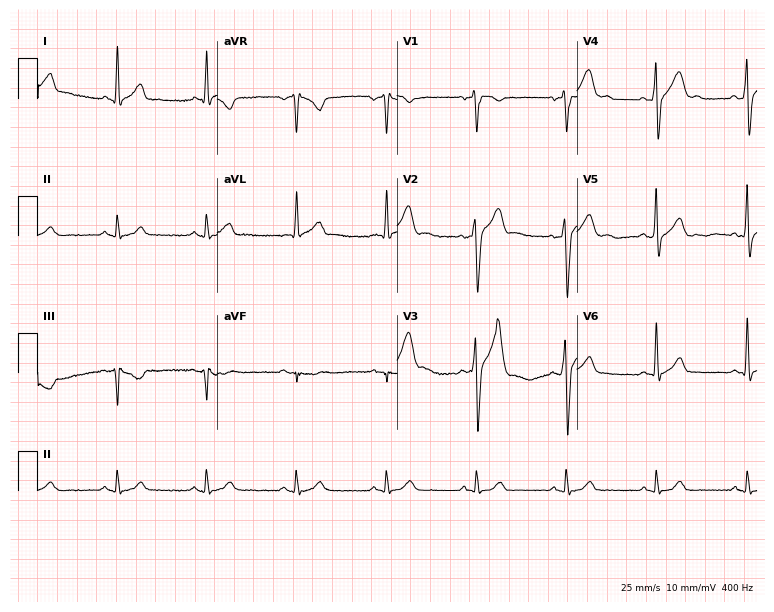
Electrocardiogram (7.3-second recording at 400 Hz), a male, 29 years old. Of the six screened findings (first-degree AV block, right bundle branch block, left bundle branch block, sinus bradycardia, atrial fibrillation, sinus tachycardia), none is recorded.